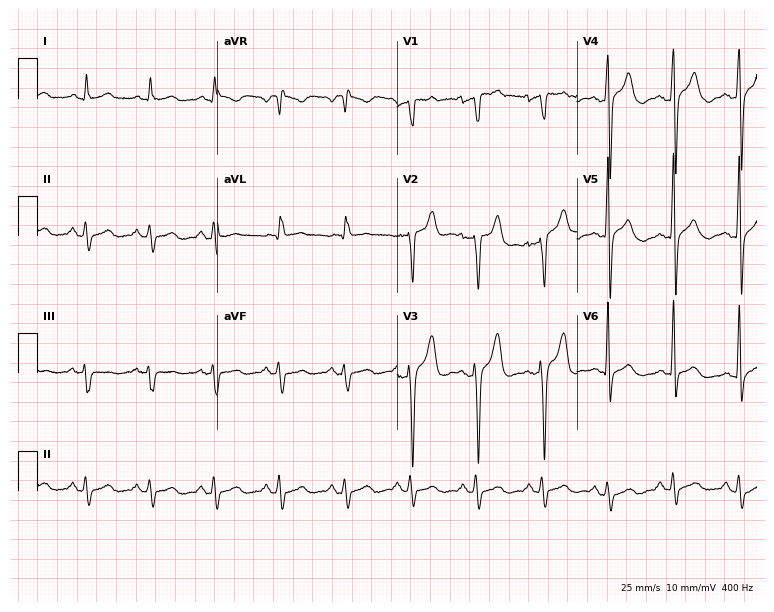
12-lead ECG from a 54-year-old male patient. Screened for six findings — first-degree AV block, right bundle branch block, left bundle branch block, sinus bradycardia, atrial fibrillation, sinus tachycardia — none is recorded. Only these six findings were labelled.